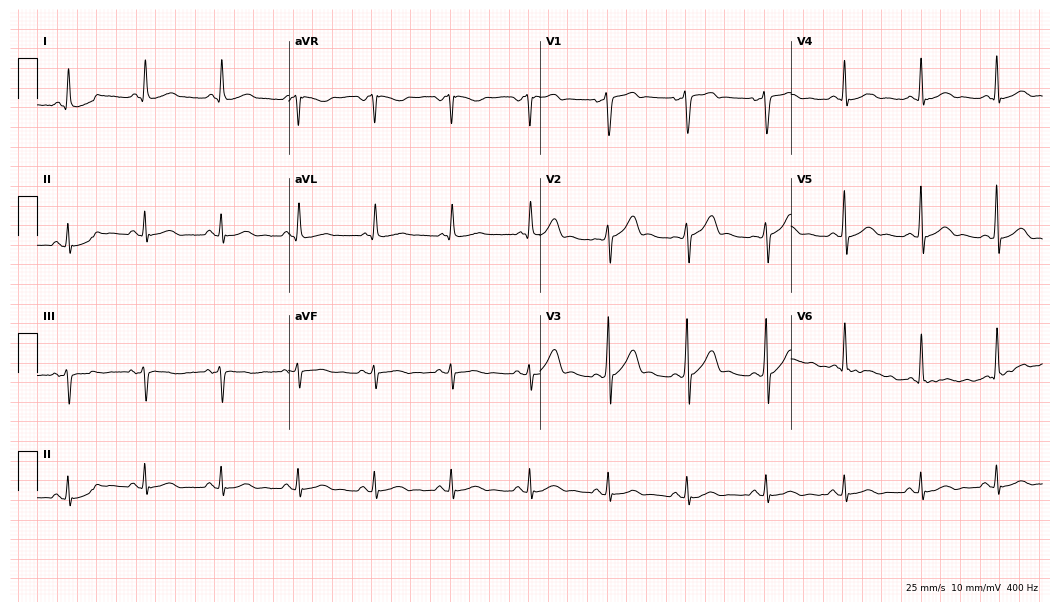
Resting 12-lead electrocardiogram (10.2-second recording at 400 Hz). Patient: a 67-year-old male. None of these six findings is recorded: first-degree AV block, right bundle branch block, left bundle branch block, sinus bradycardia, atrial fibrillation, sinus tachycardia.